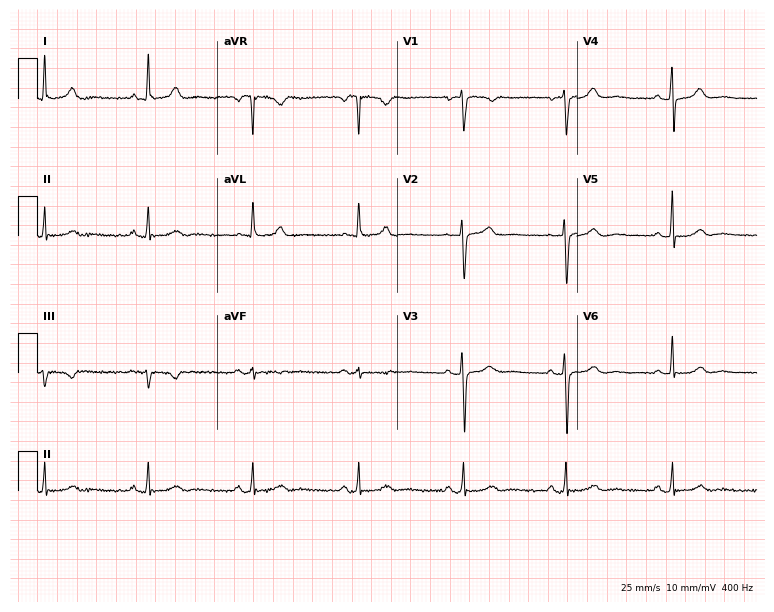
12-lead ECG from a 57-year-old female patient. Recorded interpretation: within normal limits.